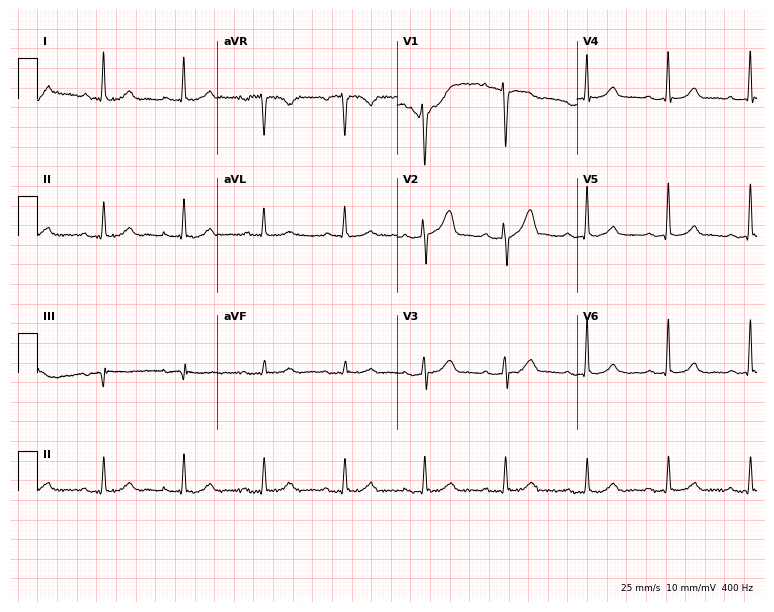
Standard 12-lead ECG recorded from a 38-year-old male. None of these six findings is recorded: first-degree AV block, right bundle branch block, left bundle branch block, sinus bradycardia, atrial fibrillation, sinus tachycardia. Only these six findings were labelled.